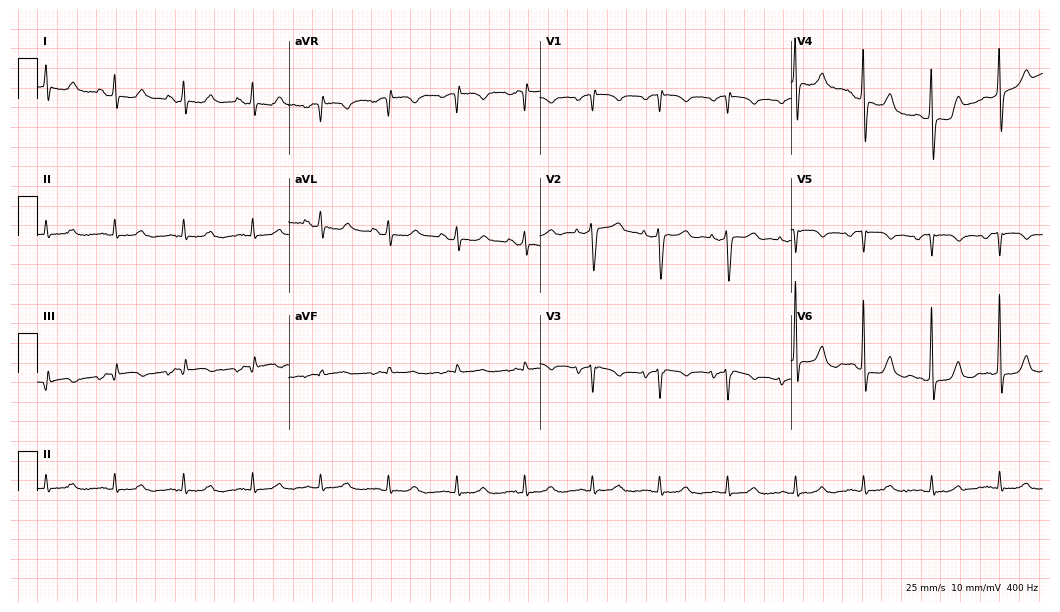
12-lead ECG from an 84-year-old female patient. No first-degree AV block, right bundle branch block, left bundle branch block, sinus bradycardia, atrial fibrillation or sinus tachycardia recorded for this tracing.